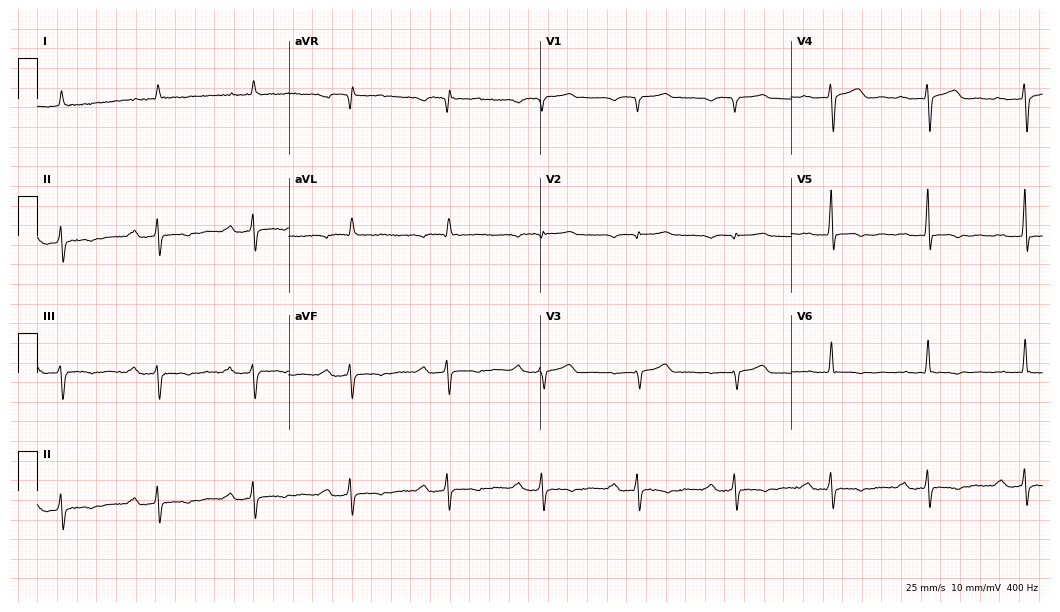
Resting 12-lead electrocardiogram. Patient: a 77-year-old female. None of these six findings is recorded: first-degree AV block, right bundle branch block (RBBB), left bundle branch block (LBBB), sinus bradycardia, atrial fibrillation (AF), sinus tachycardia. Only these six findings were labelled.